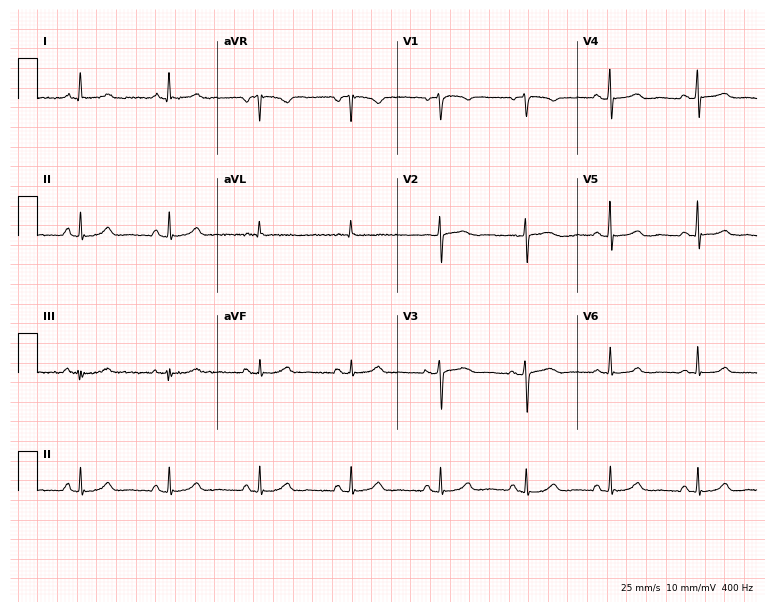
ECG (7.3-second recording at 400 Hz) — a woman, 53 years old. Labelled as a normal ECG.